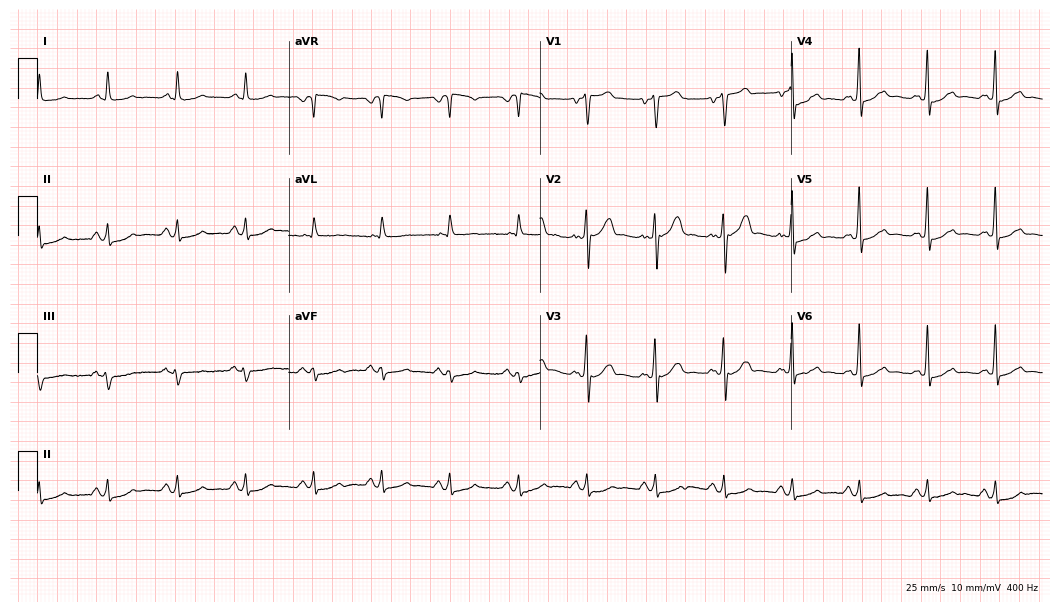
Standard 12-lead ECG recorded from a 66-year-old man (10.2-second recording at 400 Hz). None of these six findings is recorded: first-degree AV block, right bundle branch block, left bundle branch block, sinus bradycardia, atrial fibrillation, sinus tachycardia. Findings outside these six are not listed.